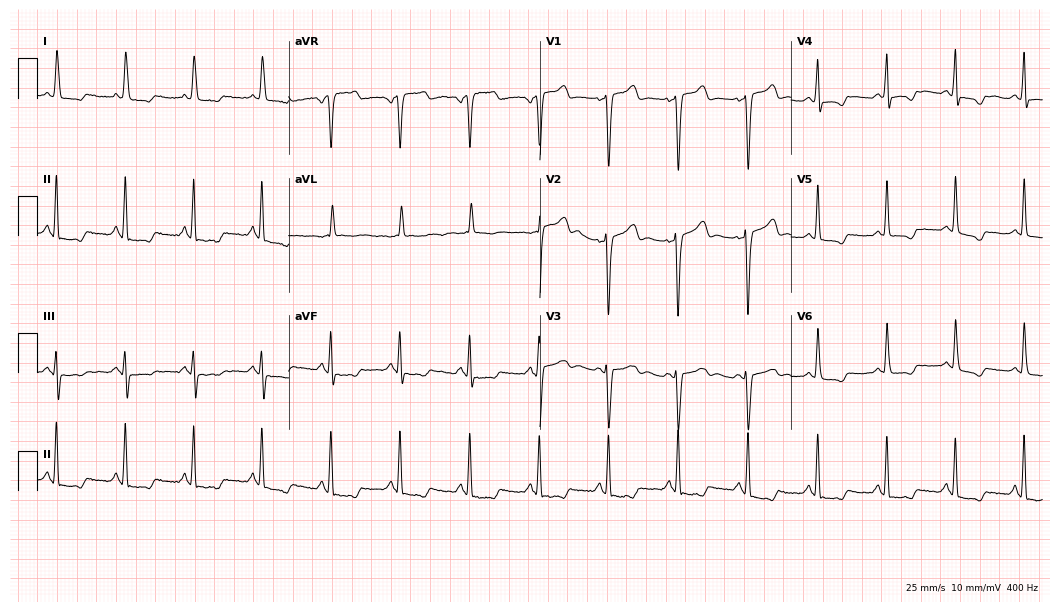
Standard 12-lead ECG recorded from a 55-year-old female (10.2-second recording at 400 Hz). None of these six findings is recorded: first-degree AV block, right bundle branch block, left bundle branch block, sinus bradycardia, atrial fibrillation, sinus tachycardia. Only these six findings were labelled.